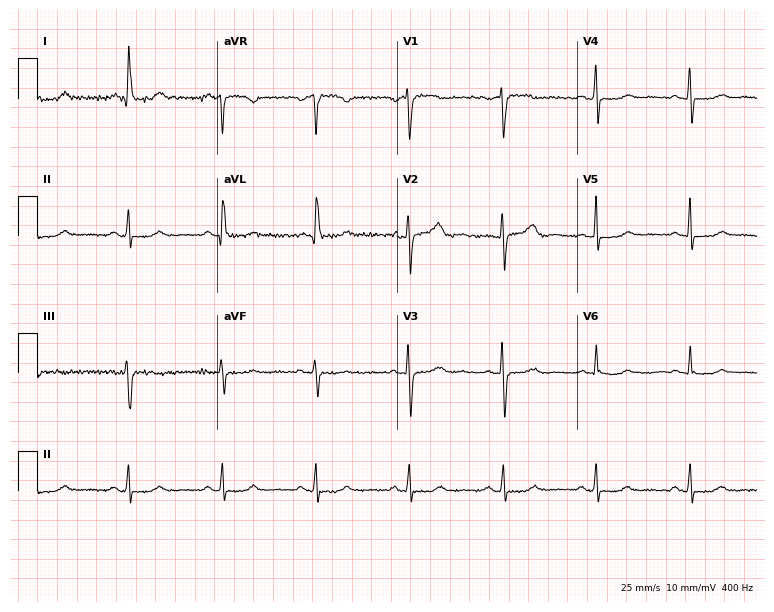
Resting 12-lead electrocardiogram. Patient: a 66-year-old female. Read as a normal ECG.